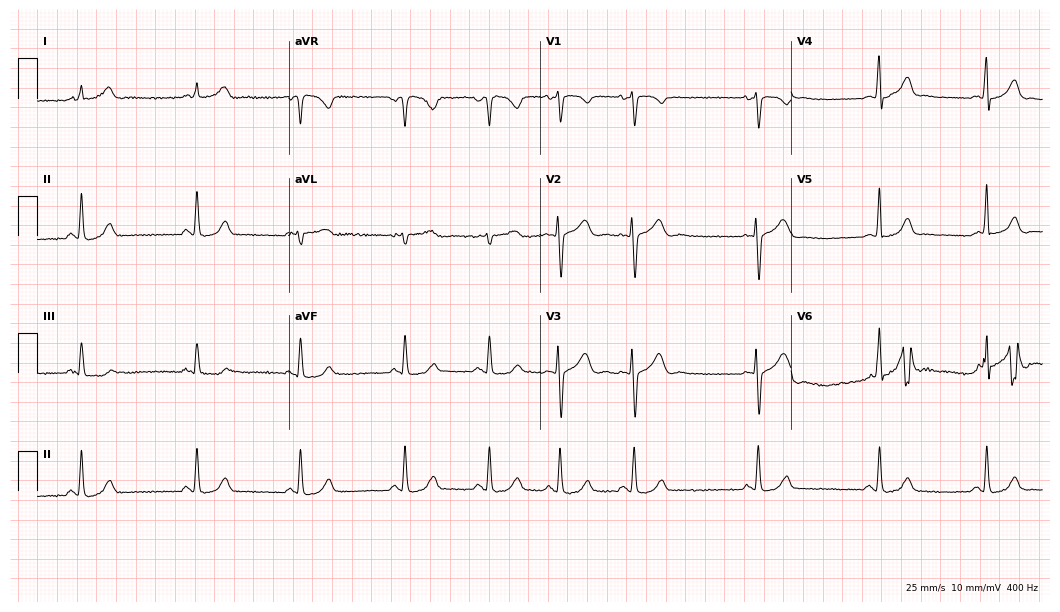
Resting 12-lead electrocardiogram (10.2-second recording at 400 Hz). Patient: a female, 25 years old. Read as a normal ECG.